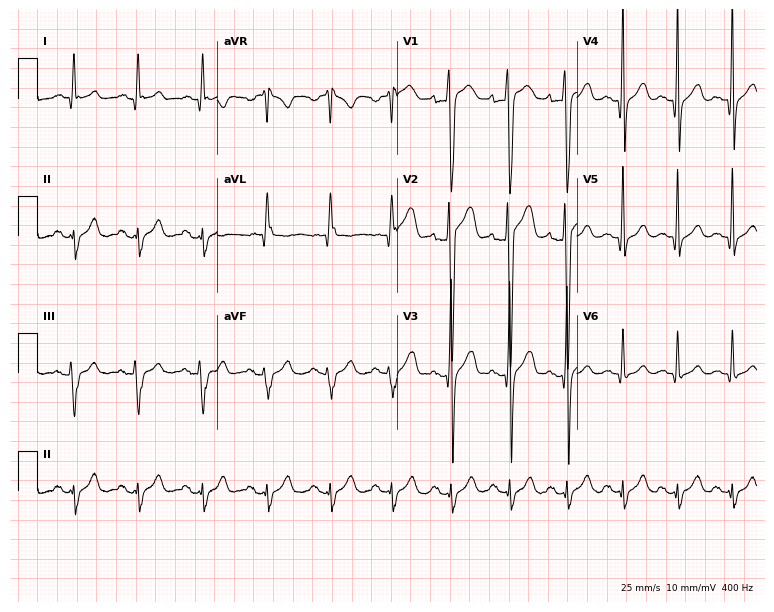
12-lead ECG (7.3-second recording at 400 Hz) from a 22-year-old male. Screened for six findings — first-degree AV block, right bundle branch block, left bundle branch block, sinus bradycardia, atrial fibrillation, sinus tachycardia — none is recorded. Findings outside these six are not listed.